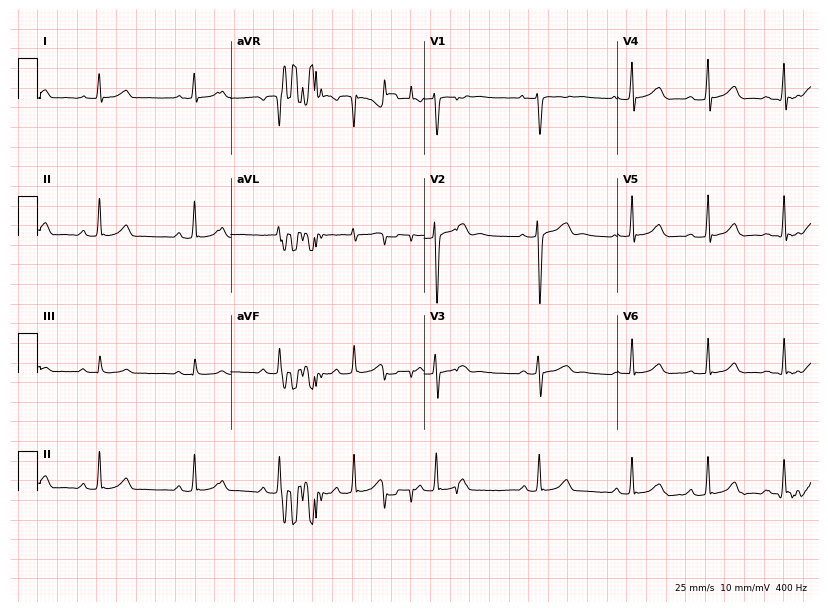
12-lead ECG from a 17-year-old female patient. No first-degree AV block, right bundle branch block, left bundle branch block, sinus bradycardia, atrial fibrillation or sinus tachycardia recorded for this tracing. Only these six findings were labelled.